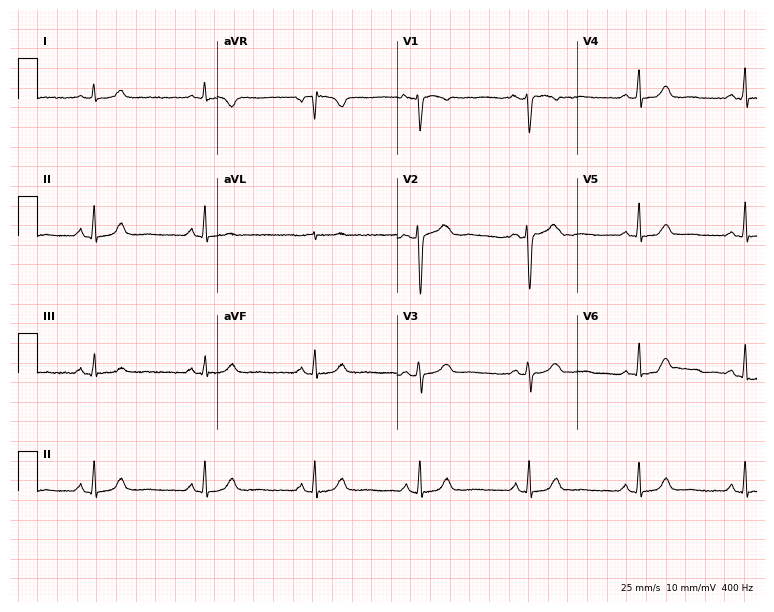
12-lead ECG (7.3-second recording at 400 Hz) from a female patient, 35 years old. Labelled as a normal ECG.